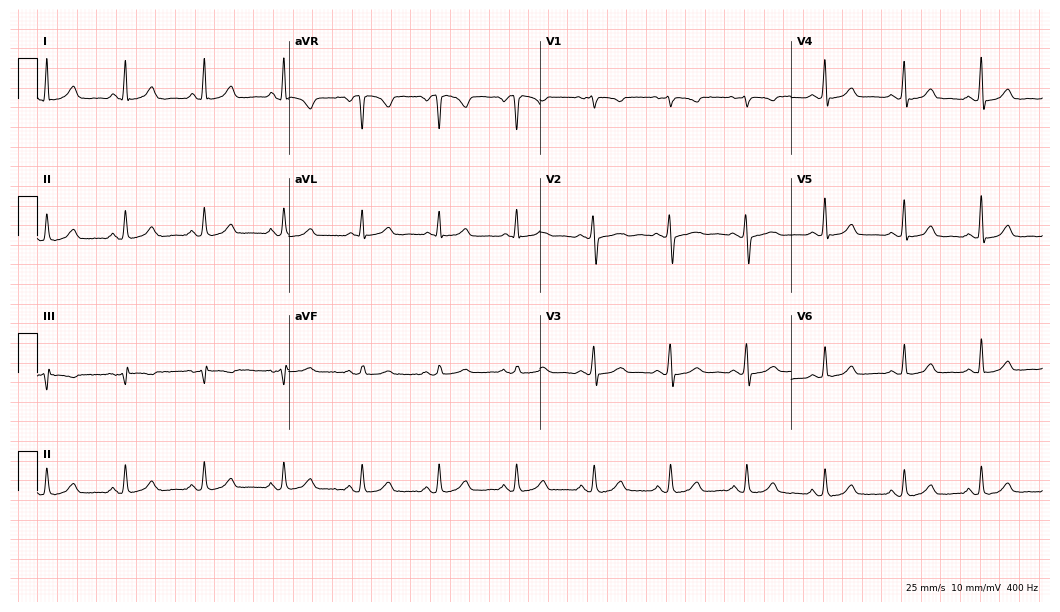
Standard 12-lead ECG recorded from a 46-year-old female patient (10.2-second recording at 400 Hz). Read as a normal ECG.